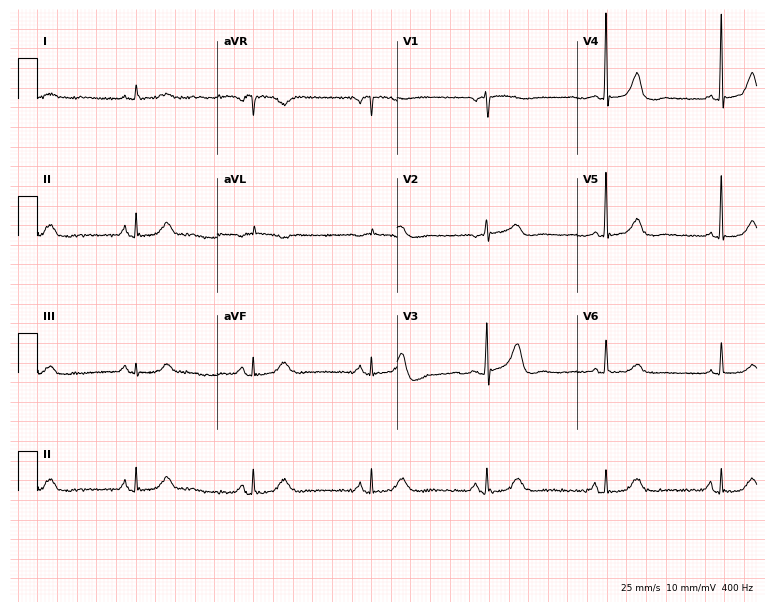
12-lead ECG from a female, 83 years old. Shows sinus bradycardia (a sinus rate of 50 beats per minute or less).